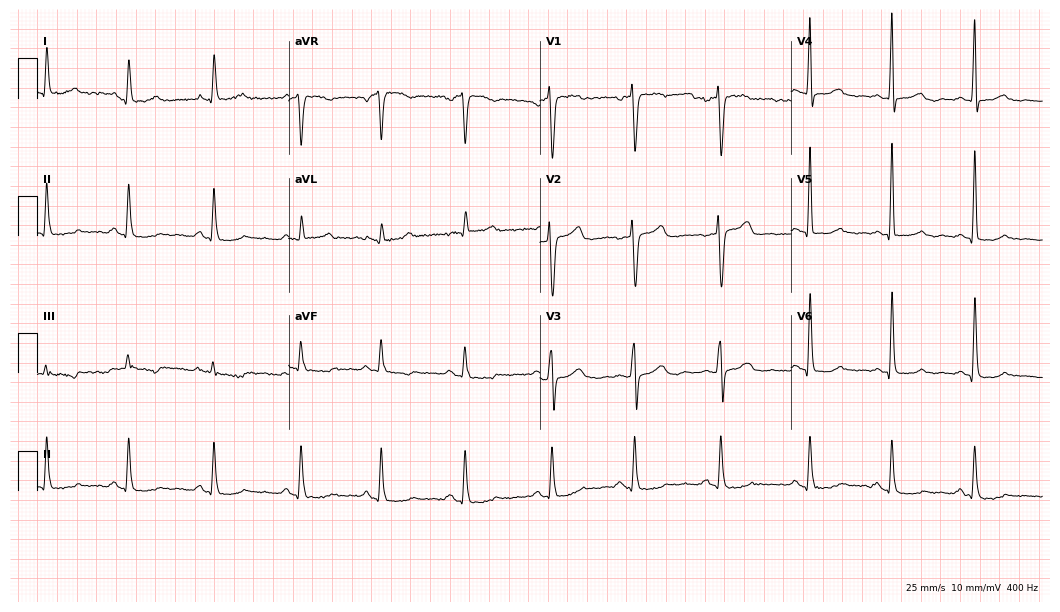
12-lead ECG from a 39-year-old female patient. Screened for six findings — first-degree AV block, right bundle branch block, left bundle branch block, sinus bradycardia, atrial fibrillation, sinus tachycardia — none is recorded. Other findings, if any, are not listed.